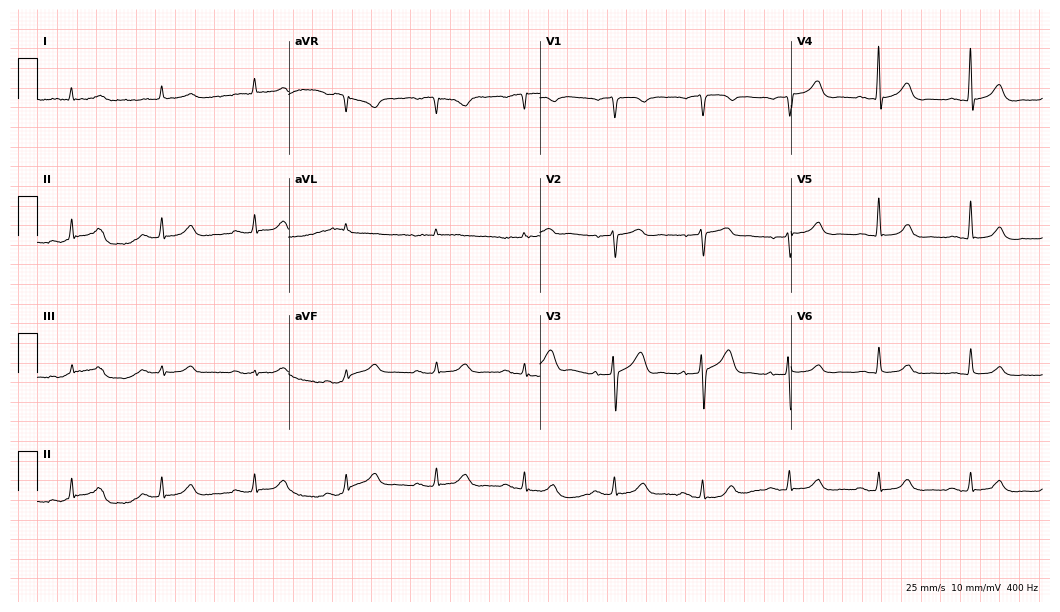
12-lead ECG from a male, 77 years old. Recorded interpretation: within normal limits.